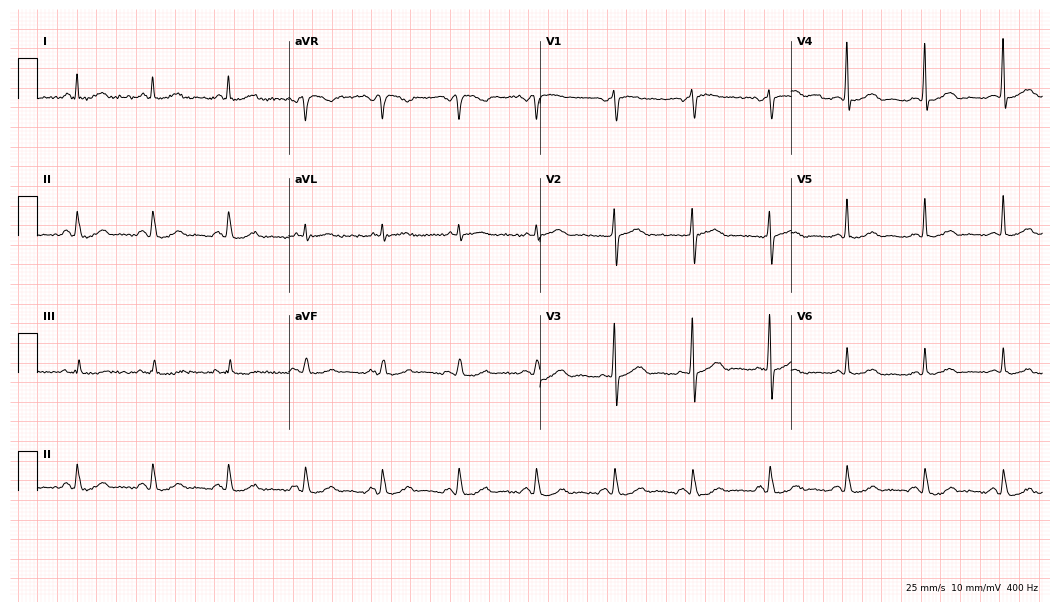
ECG — a man, 67 years old. Labelled as a normal ECG.